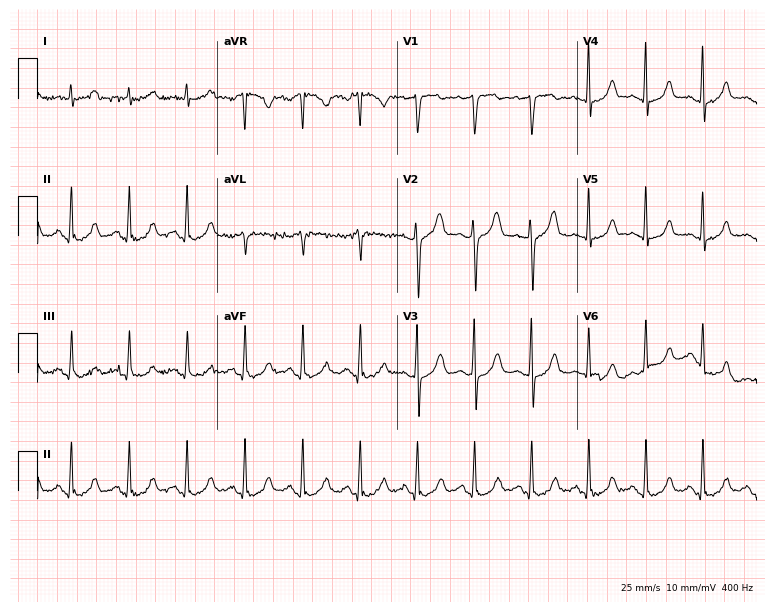
12-lead ECG from a 69-year-old male. Findings include sinus tachycardia (a sinus rate of 100 beats per minute or more).